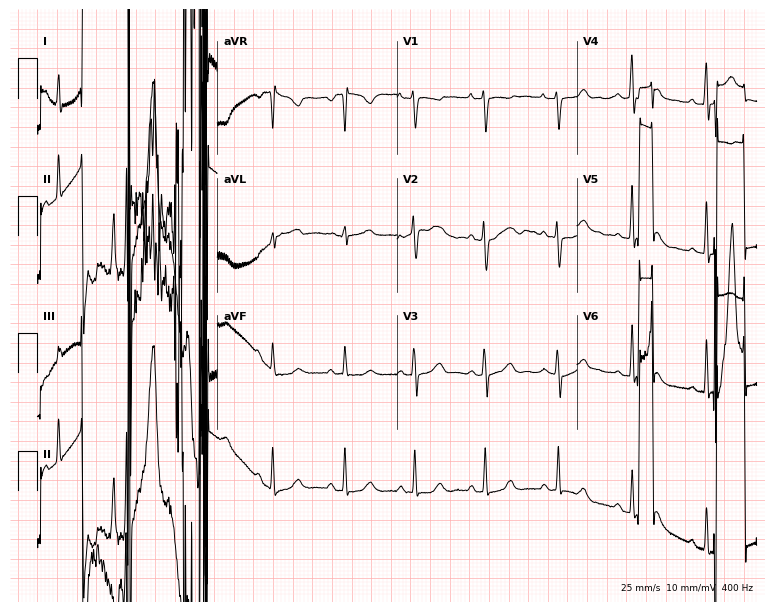
Standard 12-lead ECG recorded from a female patient, 27 years old (7.3-second recording at 400 Hz). None of these six findings is recorded: first-degree AV block, right bundle branch block (RBBB), left bundle branch block (LBBB), sinus bradycardia, atrial fibrillation (AF), sinus tachycardia.